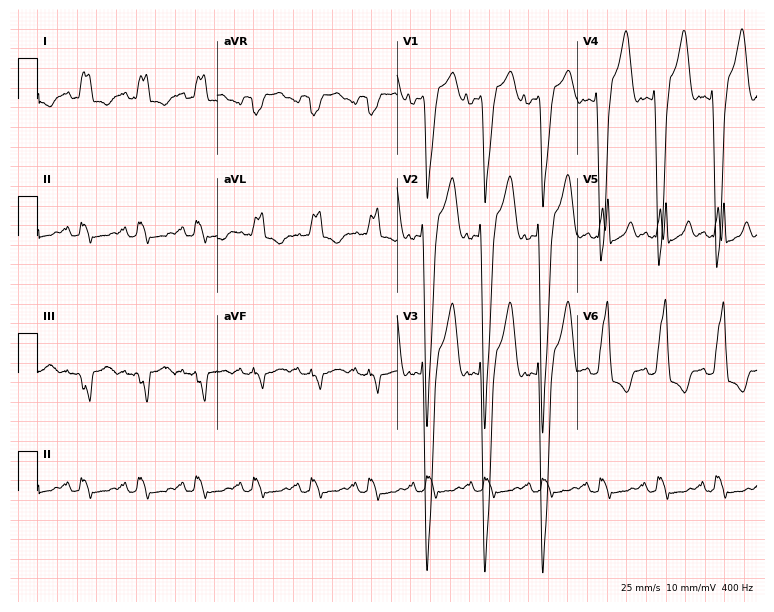
12-lead ECG from a 42-year-old male patient (7.3-second recording at 400 Hz). Shows left bundle branch block, sinus tachycardia (a sinus rate of 100 beats per minute or more).